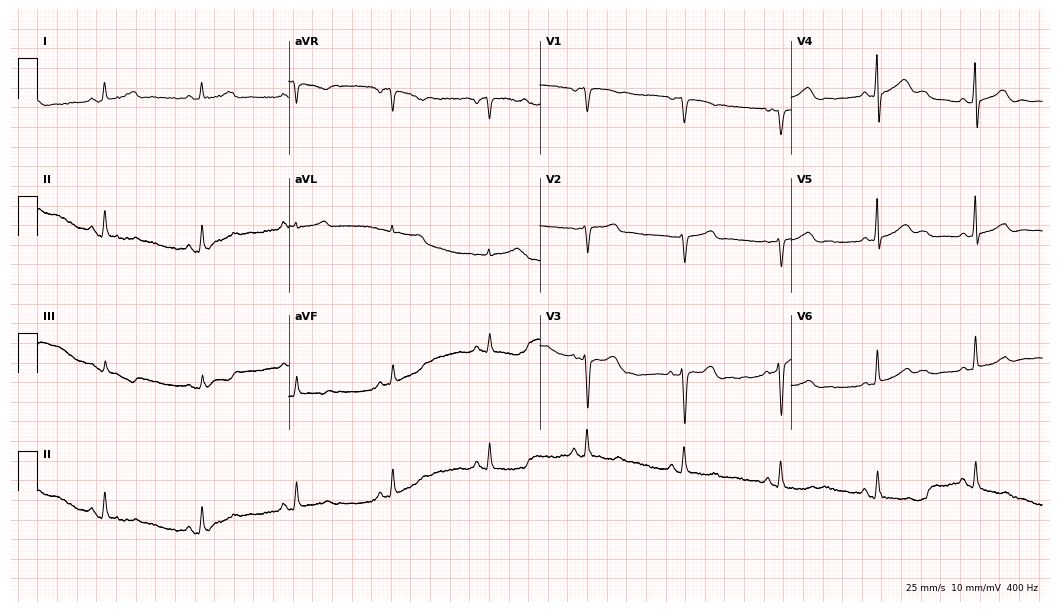
Electrocardiogram, a 65-year-old female. Overall reading on record: normal ECG.